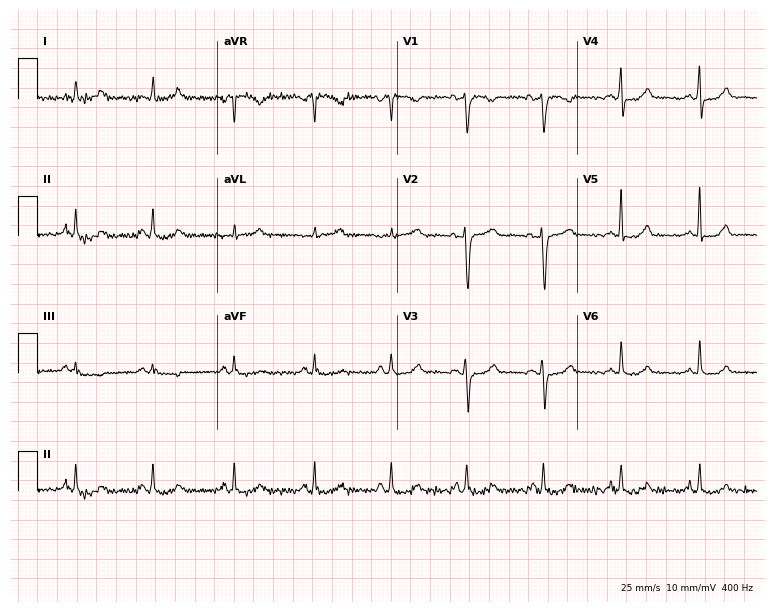
Resting 12-lead electrocardiogram. Patient: a 42-year-old female. None of these six findings is recorded: first-degree AV block, right bundle branch block, left bundle branch block, sinus bradycardia, atrial fibrillation, sinus tachycardia. Only these six findings were labelled.